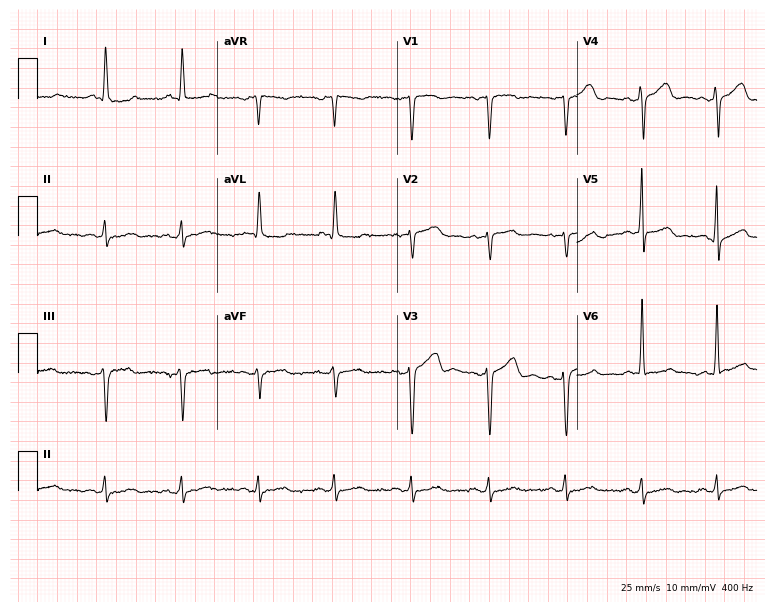
ECG — a 70-year-old man. Screened for six findings — first-degree AV block, right bundle branch block, left bundle branch block, sinus bradycardia, atrial fibrillation, sinus tachycardia — none is recorded.